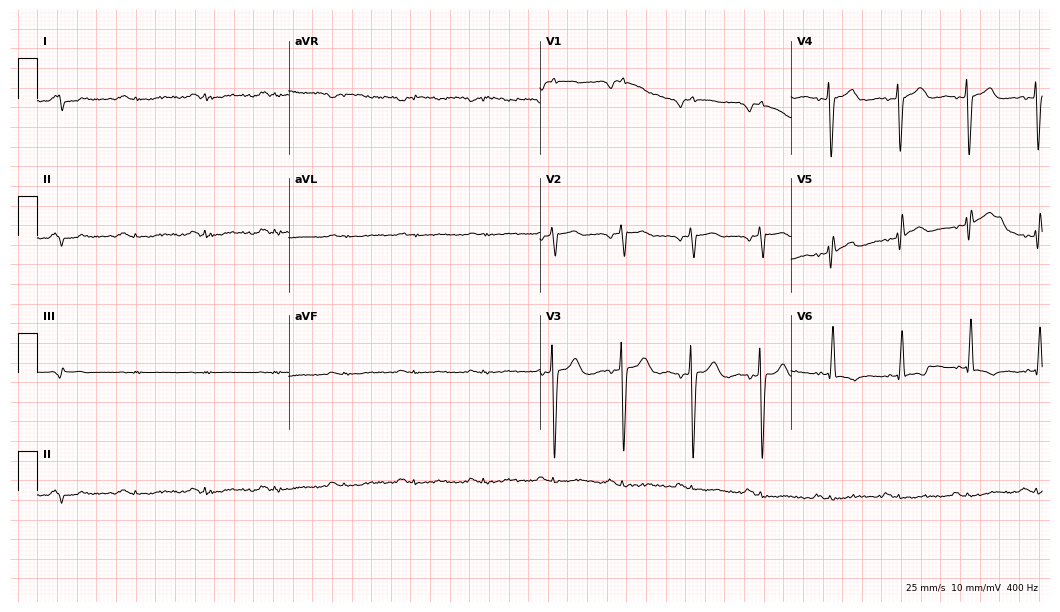
12-lead ECG from a 47-year-old male patient (10.2-second recording at 400 Hz). No first-degree AV block, right bundle branch block, left bundle branch block, sinus bradycardia, atrial fibrillation or sinus tachycardia recorded for this tracing. Only these six findings were labelled.